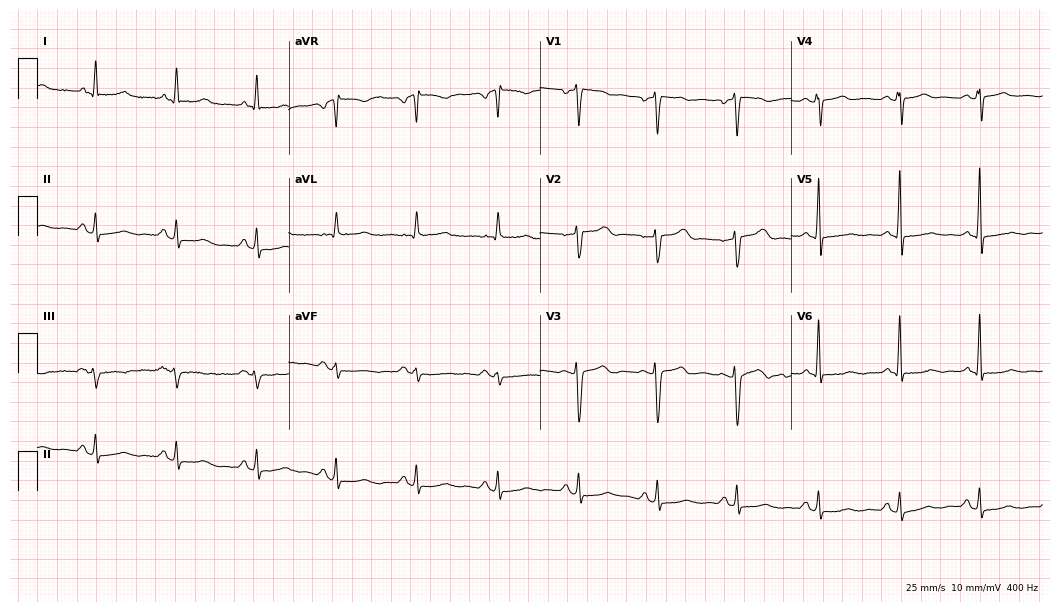
12-lead ECG (10.2-second recording at 400 Hz) from a female patient, 55 years old. Screened for six findings — first-degree AV block, right bundle branch block, left bundle branch block, sinus bradycardia, atrial fibrillation, sinus tachycardia — none is recorded. Other findings, if any, are not listed.